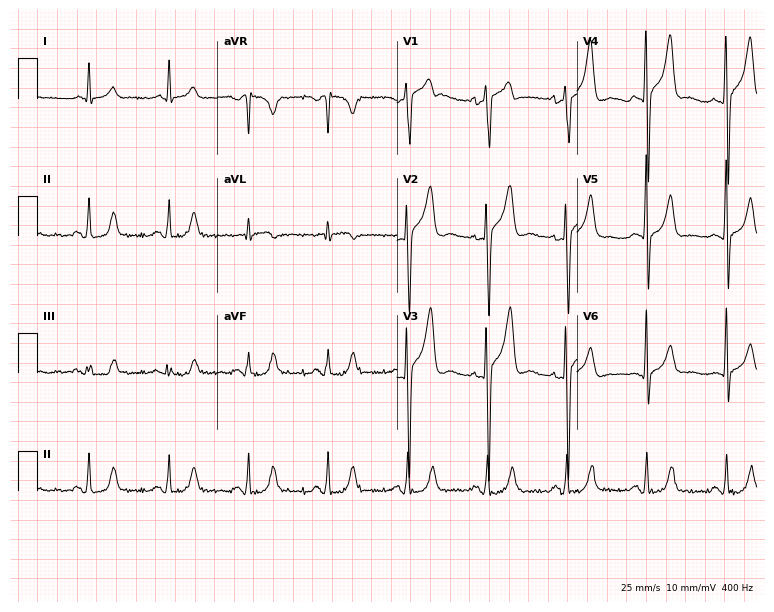
ECG — a 48-year-old man. Labelled as a normal ECG.